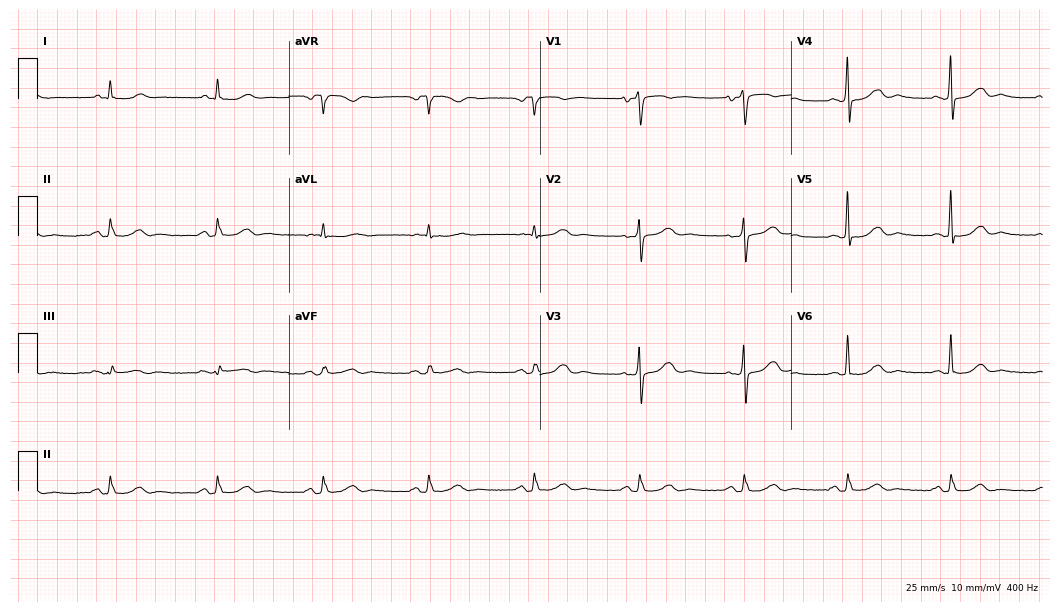
Standard 12-lead ECG recorded from a woman, 68 years old. None of these six findings is recorded: first-degree AV block, right bundle branch block (RBBB), left bundle branch block (LBBB), sinus bradycardia, atrial fibrillation (AF), sinus tachycardia. Findings outside these six are not listed.